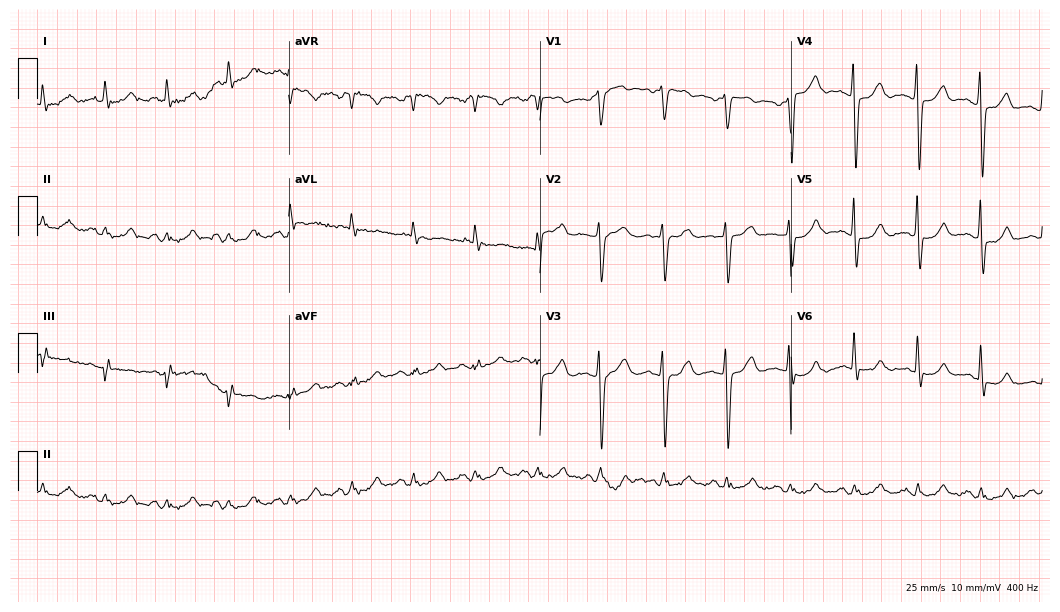
Resting 12-lead electrocardiogram (10.2-second recording at 400 Hz). Patient: a 53-year-old man. Read as a normal ECG.